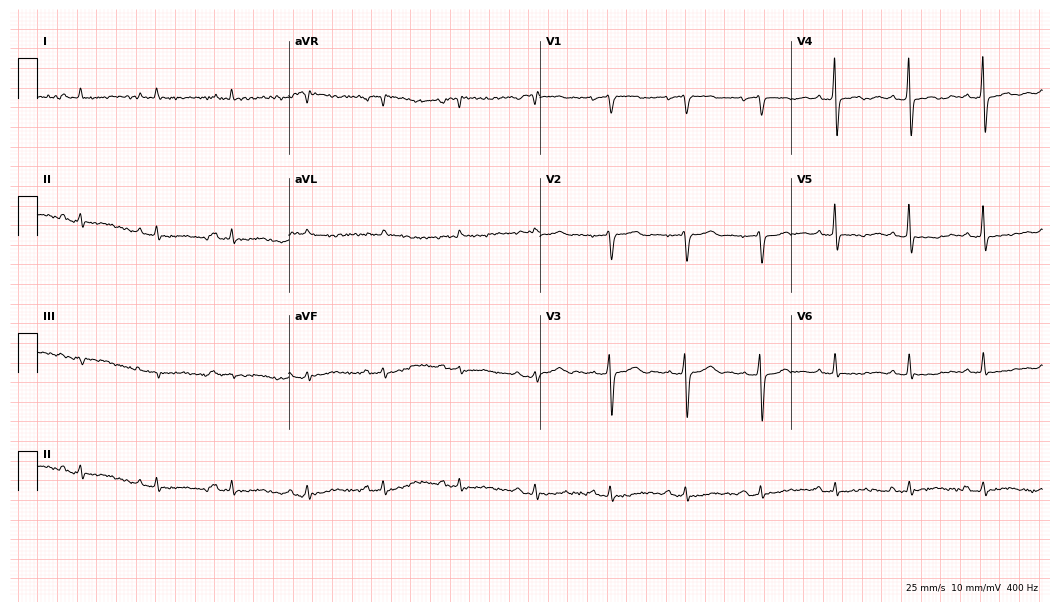
Resting 12-lead electrocardiogram (10.2-second recording at 400 Hz). Patient: a 73-year-old male. None of these six findings is recorded: first-degree AV block, right bundle branch block, left bundle branch block, sinus bradycardia, atrial fibrillation, sinus tachycardia. Other findings, if any, are not listed.